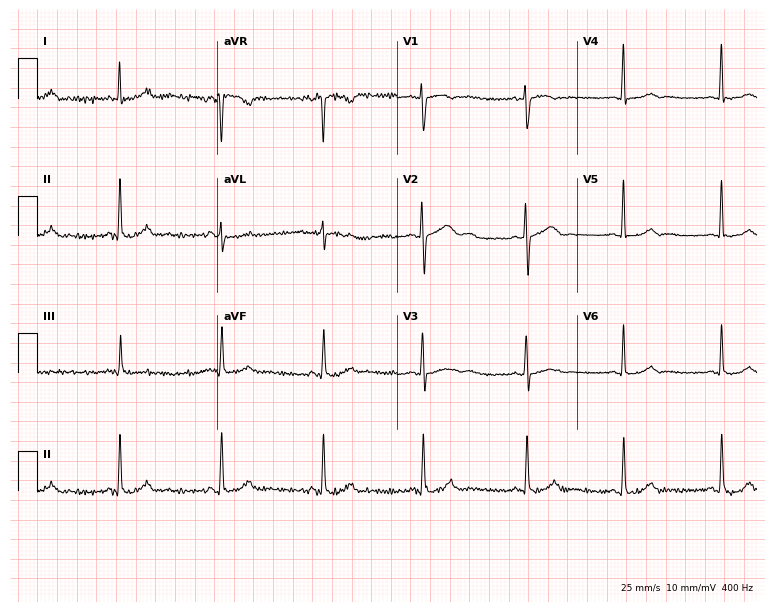
ECG — a female patient, 38 years old. Labelled as a normal ECG.